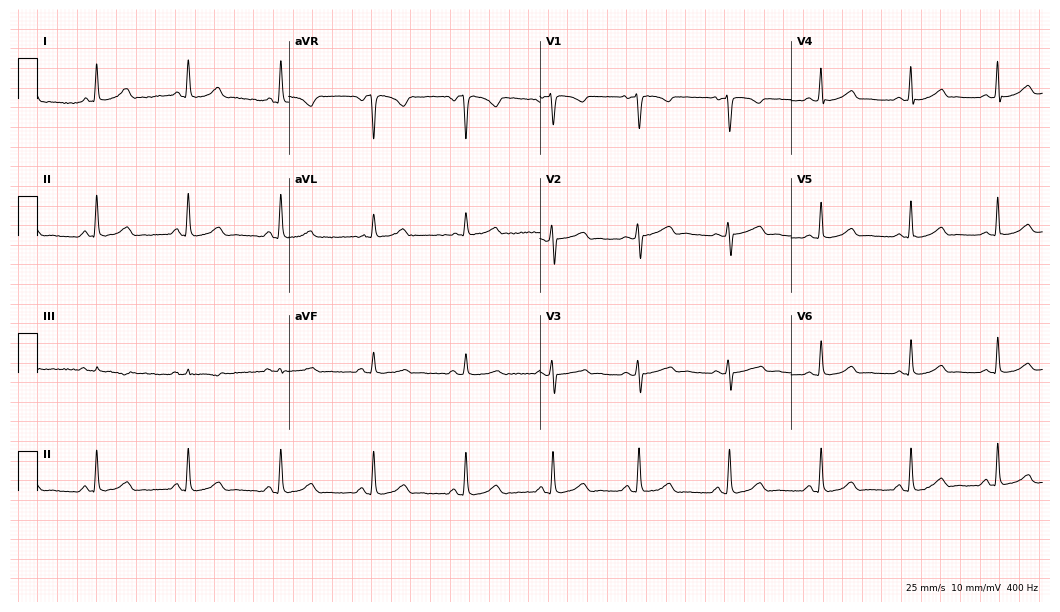
12-lead ECG (10.2-second recording at 400 Hz) from a 45-year-old woman. Labelled as a normal ECG.